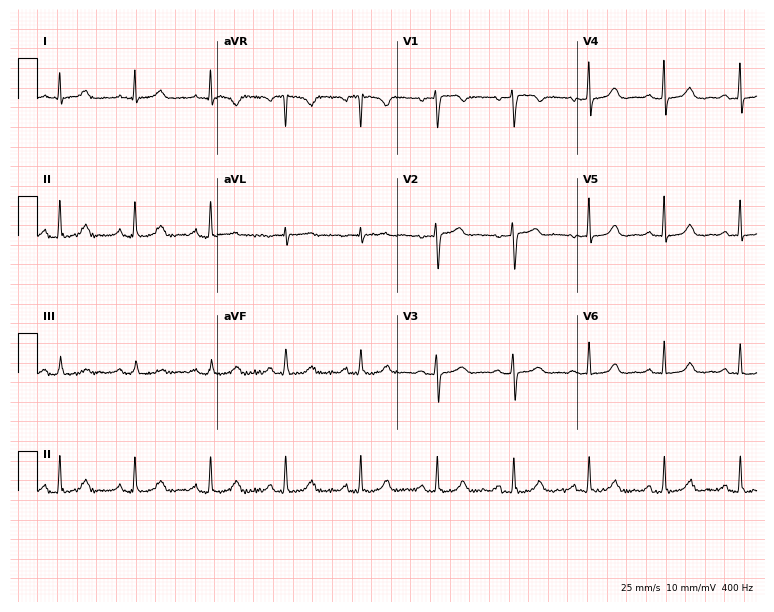
12-lead ECG from a 54-year-old woman. Recorded interpretation: within normal limits.